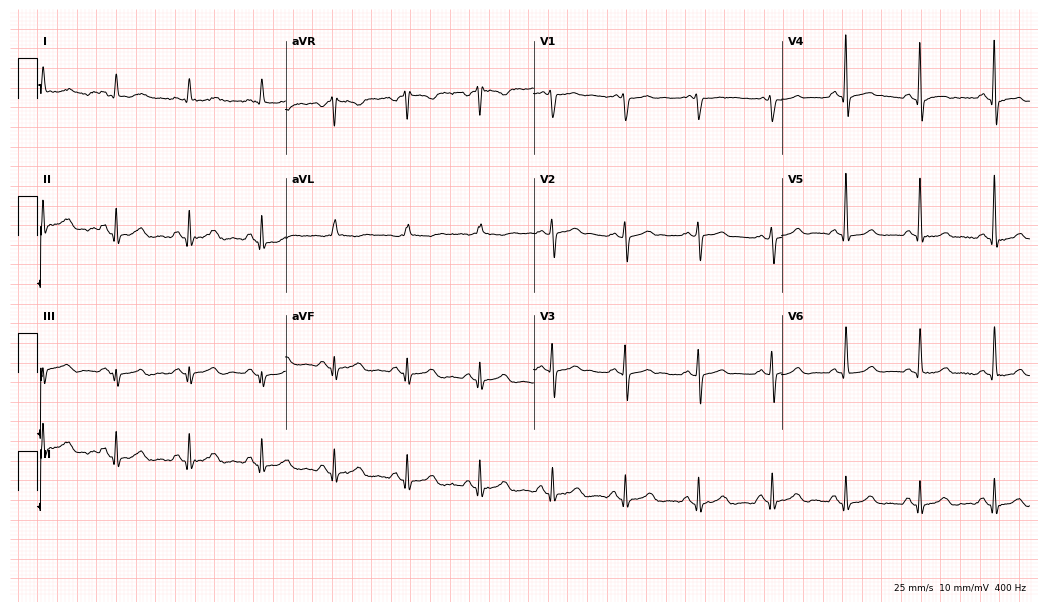
12-lead ECG from a male patient, 60 years old (10.1-second recording at 400 Hz). No first-degree AV block, right bundle branch block (RBBB), left bundle branch block (LBBB), sinus bradycardia, atrial fibrillation (AF) or sinus tachycardia recorded for this tracing. Only these six findings were labelled.